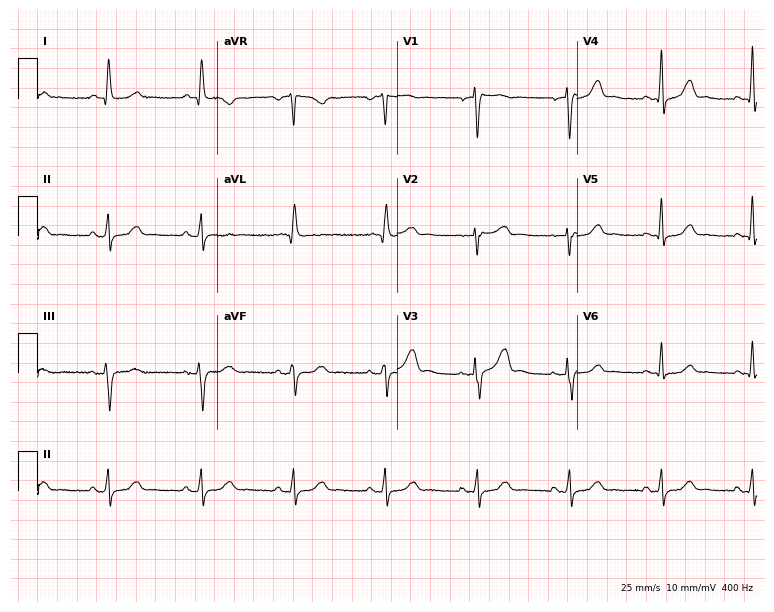
Resting 12-lead electrocardiogram (7.3-second recording at 400 Hz). Patient: a 56-year-old female. Read as a normal ECG.